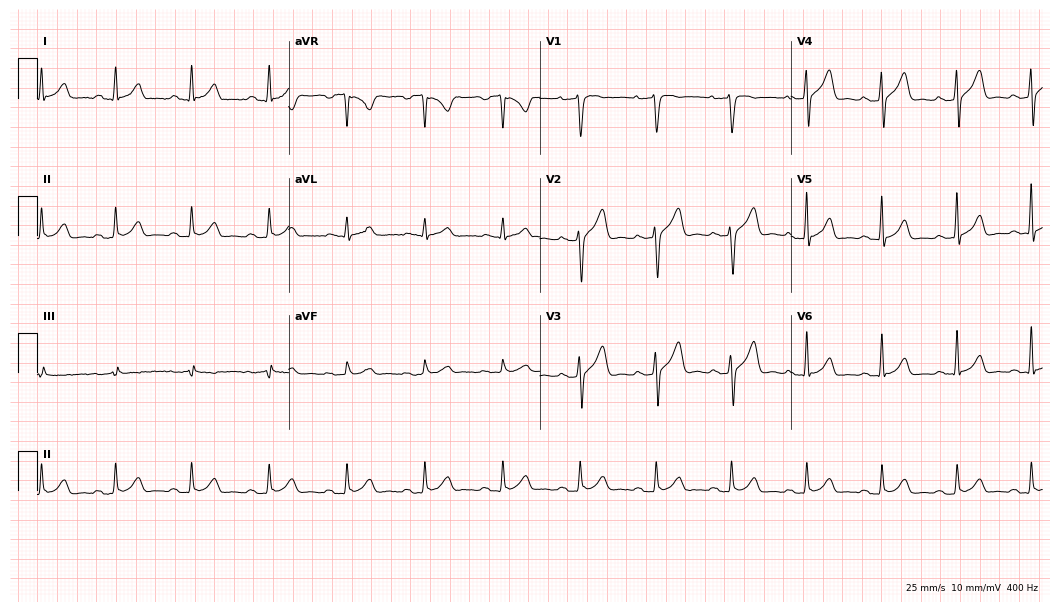
12-lead ECG from a 35-year-old man (10.2-second recording at 400 Hz). Recorded interpretation: within normal limits.